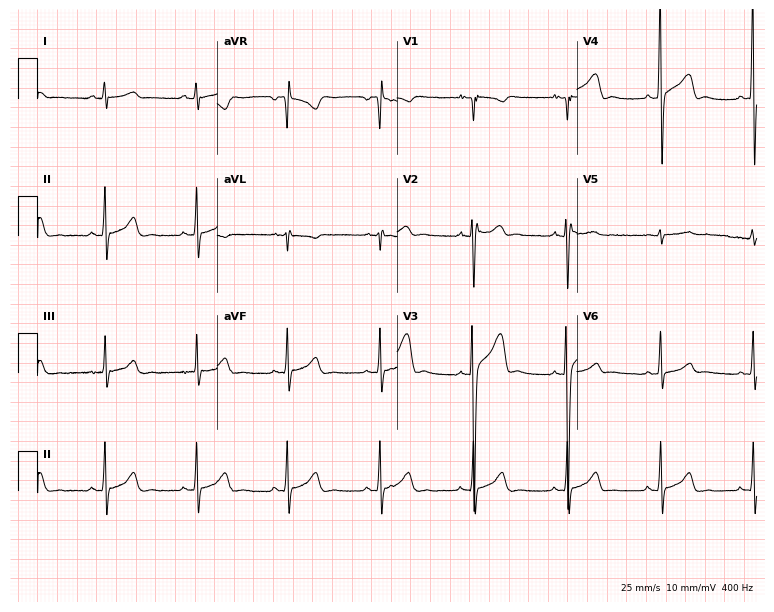
12-lead ECG from an 18-year-old man. Labelled as a normal ECG.